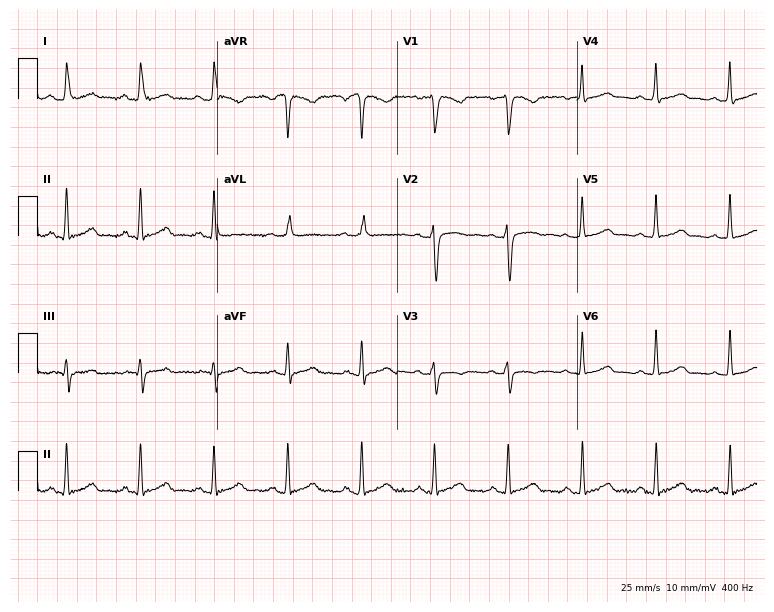
12-lead ECG (7.3-second recording at 400 Hz) from a 40-year-old female. Labelled as a normal ECG.